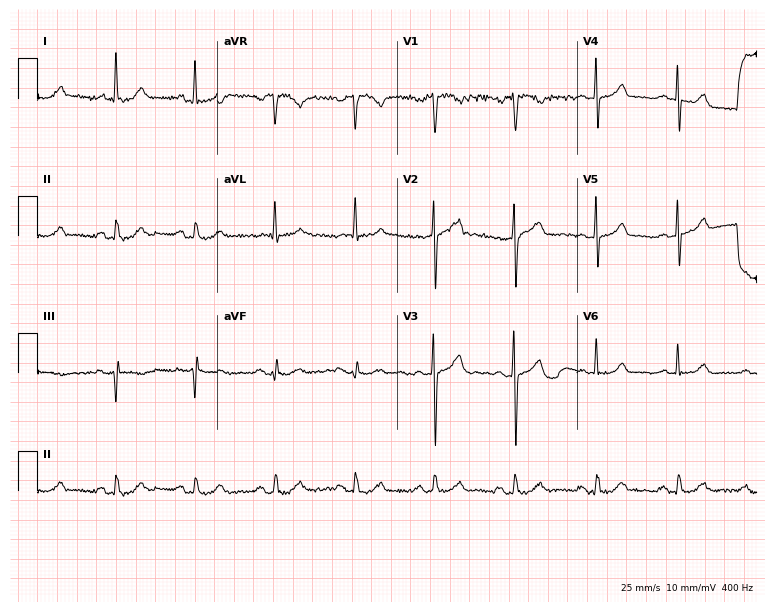
12-lead ECG from a 65-year-old male. Recorded interpretation: within normal limits.